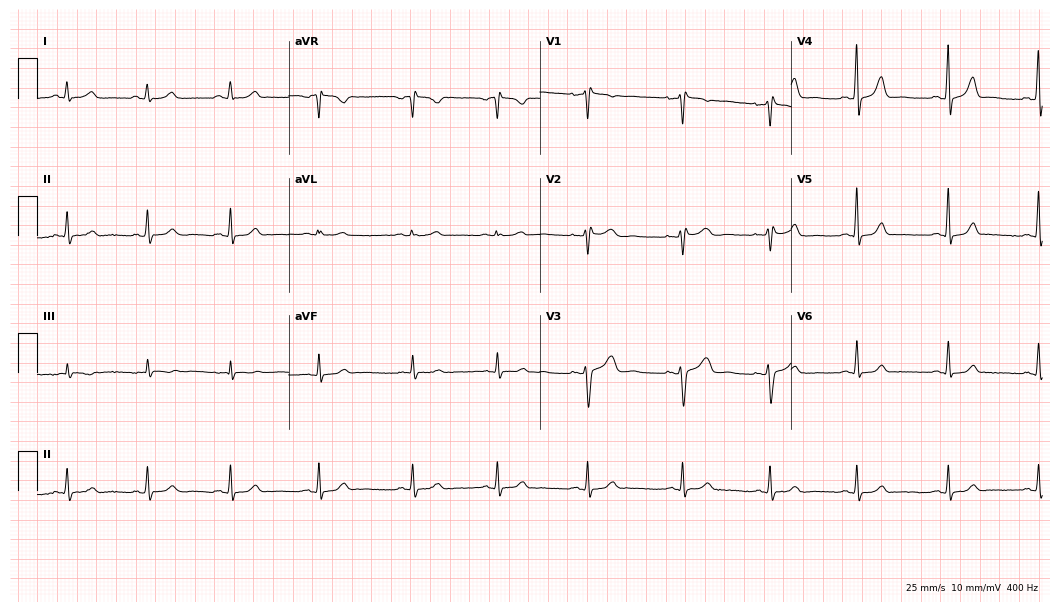
Standard 12-lead ECG recorded from a 47-year-old female patient (10.2-second recording at 400 Hz). None of these six findings is recorded: first-degree AV block, right bundle branch block (RBBB), left bundle branch block (LBBB), sinus bradycardia, atrial fibrillation (AF), sinus tachycardia. Only these six findings were labelled.